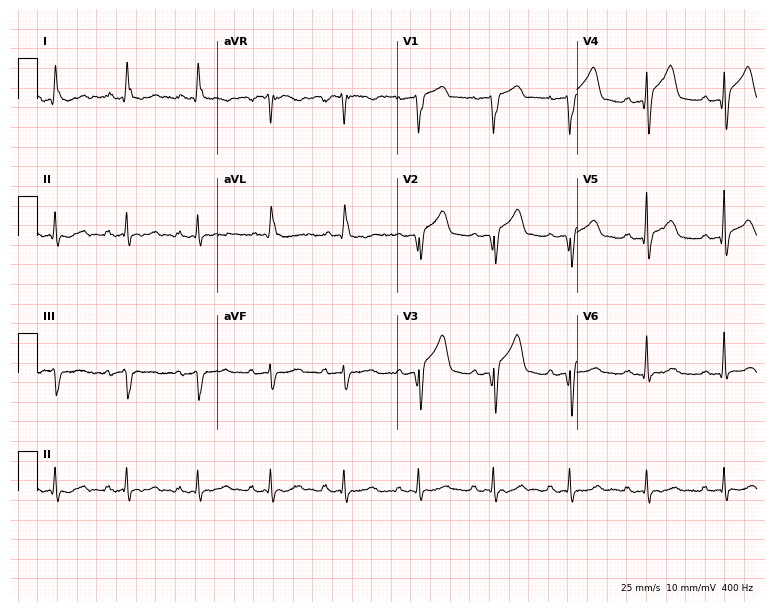
Standard 12-lead ECG recorded from a 78-year-old female patient. None of these six findings is recorded: first-degree AV block, right bundle branch block, left bundle branch block, sinus bradycardia, atrial fibrillation, sinus tachycardia.